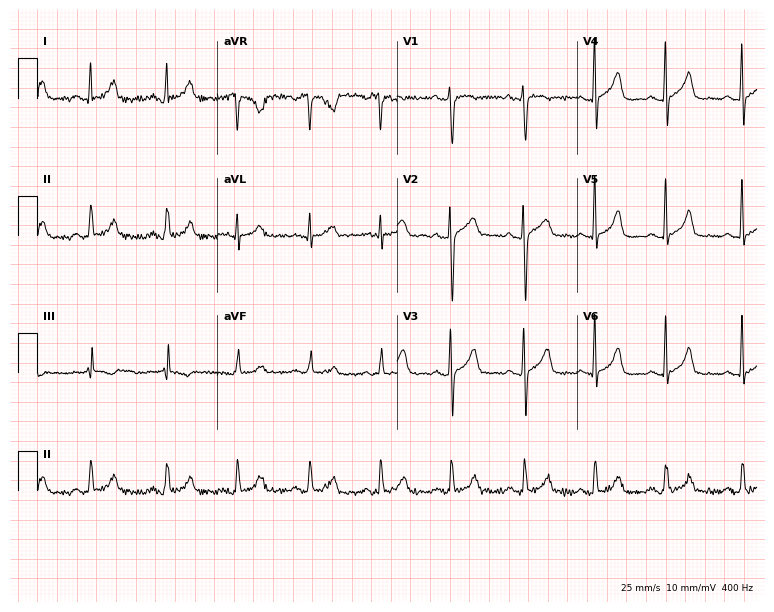
12-lead ECG from a 27-year-old woman. No first-degree AV block, right bundle branch block, left bundle branch block, sinus bradycardia, atrial fibrillation or sinus tachycardia recorded for this tracing. Only these six findings were labelled.